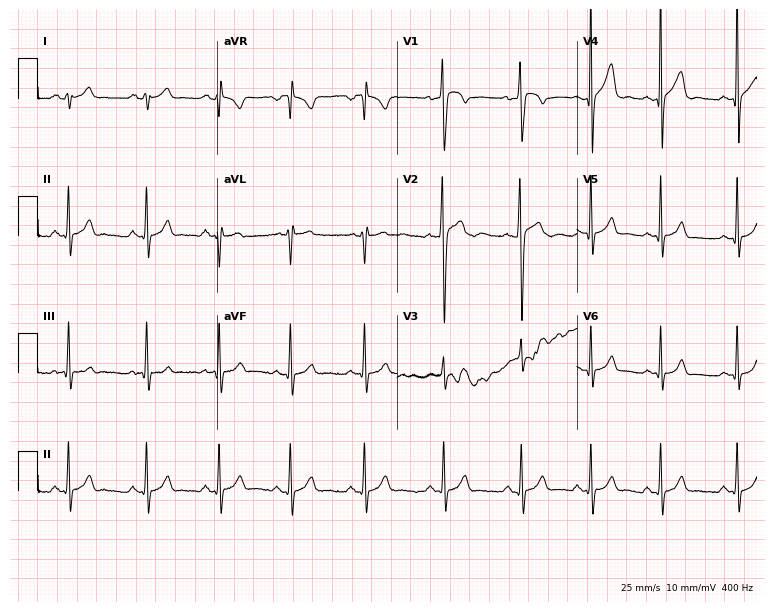
Electrocardiogram (7.3-second recording at 400 Hz), a male, 20 years old. Overall reading on record: normal ECG.